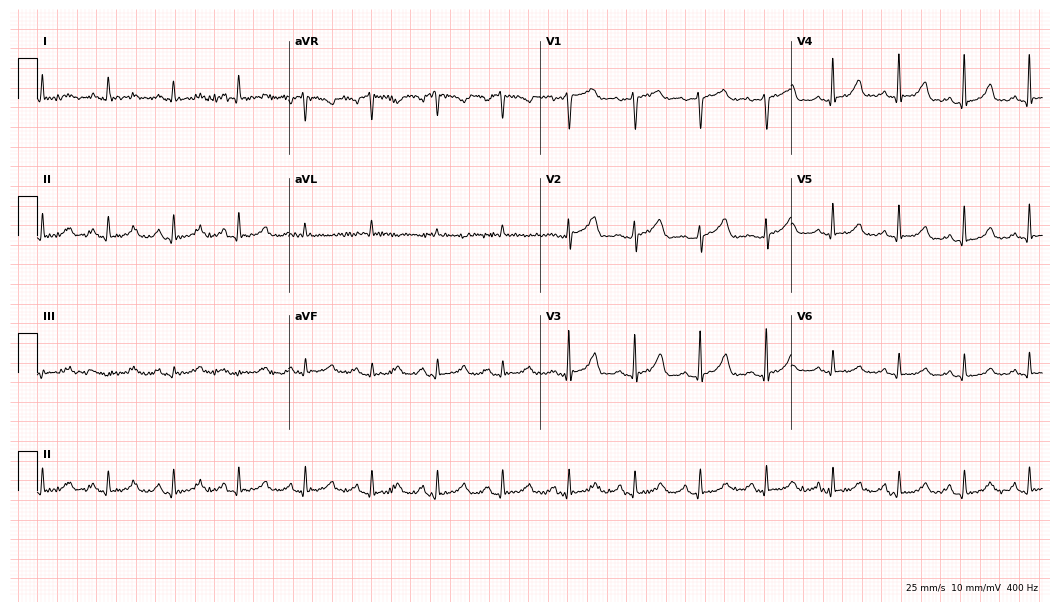
Resting 12-lead electrocardiogram (10.2-second recording at 400 Hz). Patient: a female, 65 years old. None of these six findings is recorded: first-degree AV block, right bundle branch block, left bundle branch block, sinus bradycardia, atrial fibrillation, sinus tachycardia. Only these six findings were labelled.